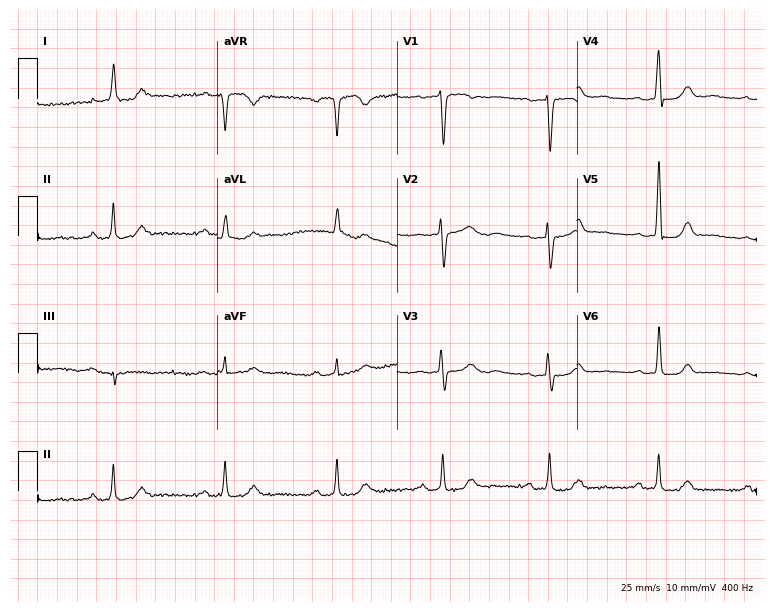
12-lead ECG from a female, 60 years old (7.3-second recording at 400 Hz). Shows first-degree AV block.